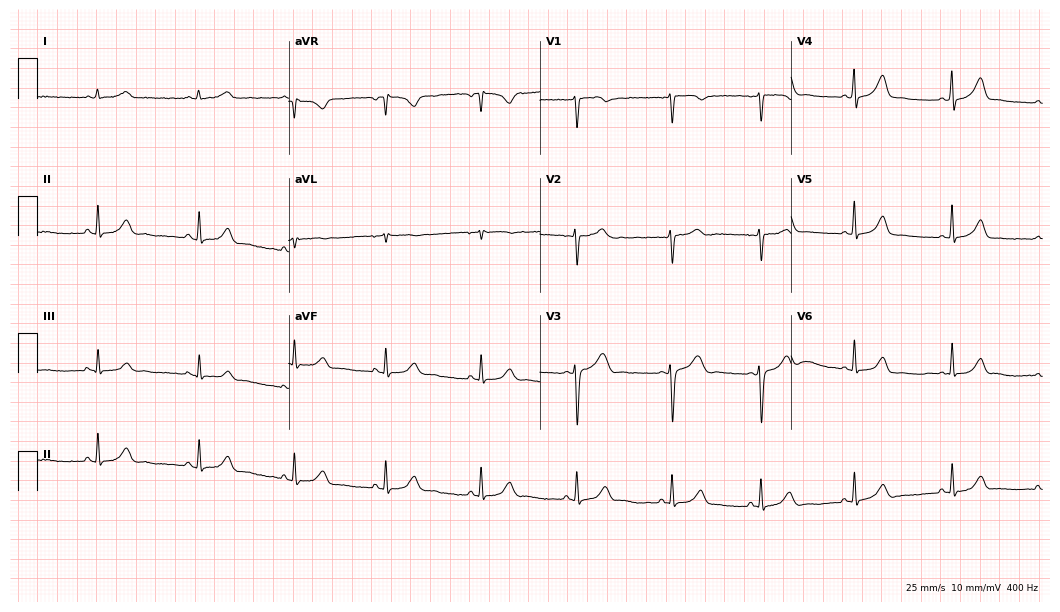
Resting 12-lead electrocardiogram. Patient: a 36-year-old female. None of these six findings is recorded: first-degree AV block, right bundle branch block (RBBB), left bundle branch block (LBBB), sinus bradycardia, atrial fibrillation (AF), sinus tachycardia. Other findings, if any, are not listed.